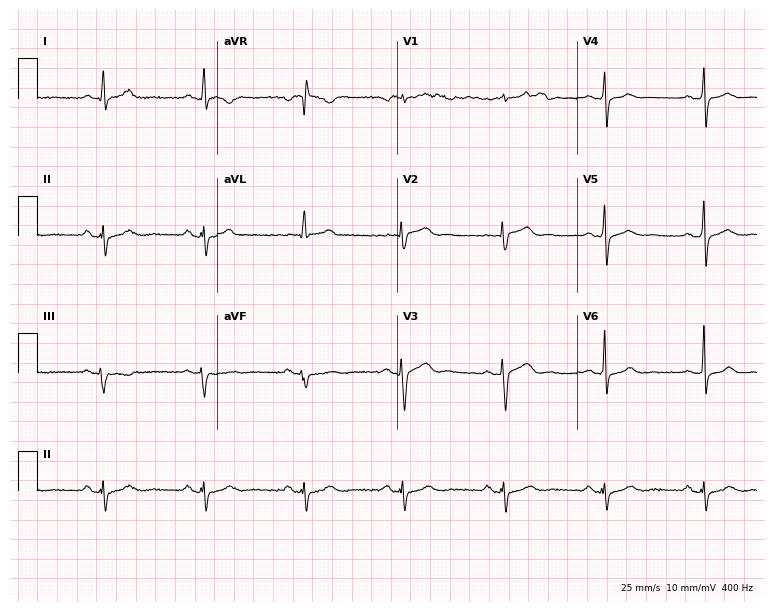
12-lead ECG (7.3-second recording at 400 Hz) from a man, 53 years old. Screened for six findings — first-degree AV block, right bundle branch block (RBBB), left bundle branch block (LBBB), sinus bradycardia, atrial fibrillation (AF), sinus tachycardia — none is recorded. Other findings, if any, are not listed.